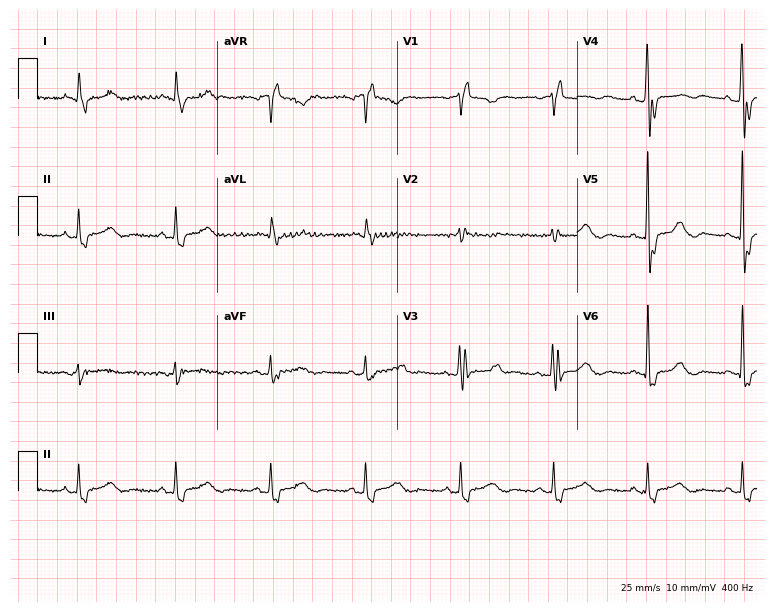
12-lead ECG from a 77-year-old woman (7.3-second recording at 400 Hz). Shows right bundle branch block.